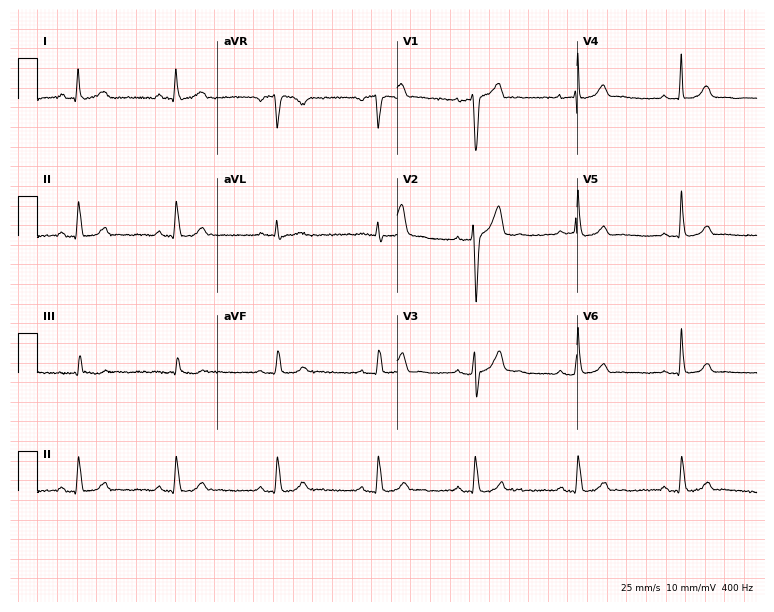
Electrocardiogram, a 39-year-old male patient. Of the six screened findings (first-degree AV block, right bundle branch block (RBBB), left bundle branch block (LBBB), sinus bradycardia, atrial fibrillation (AF), sinus tachycardia), none is recorded.